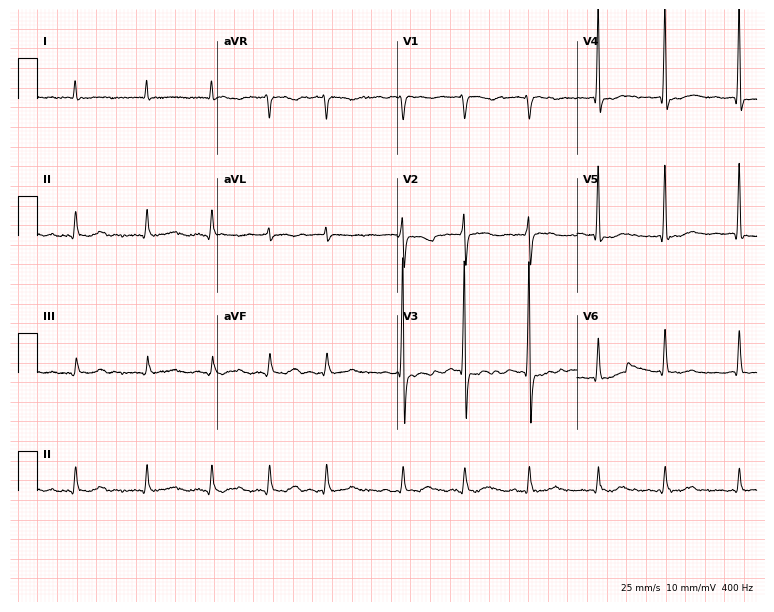
ECG — a 77-year-old man. Findings include atrial fibrillation (AF).